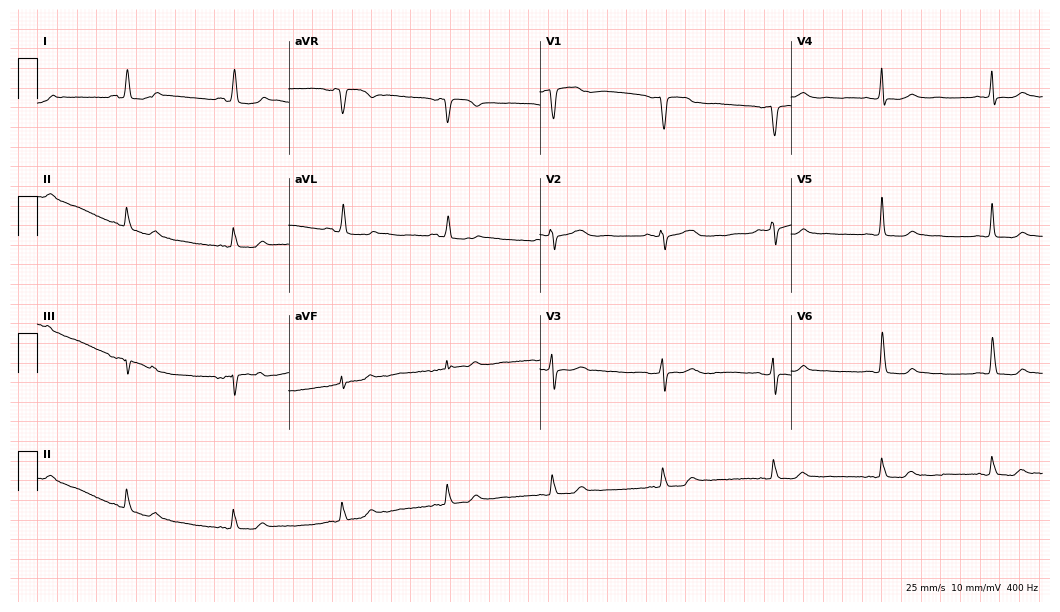
Resting 12-lead electrocardiogram (10.2-second recording at 400 Hz). Patient: a 67-year-old female. Read as a normal ECG.